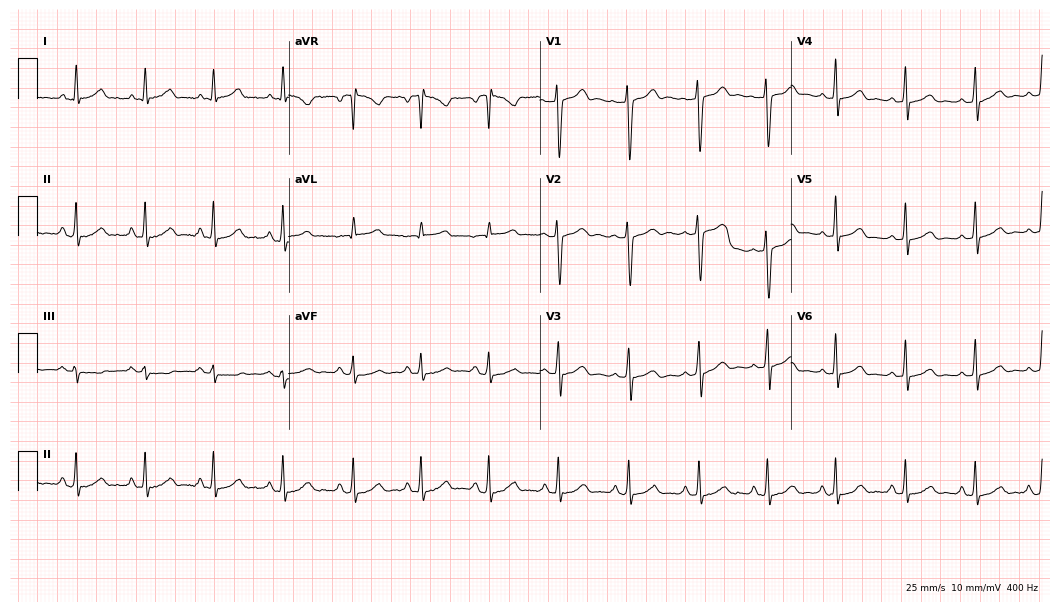
Resting 12-lead electrocardiogram (10.2-second recording at 400 Hz). Patient: a female, 46 years old. Read as a normal ECG.